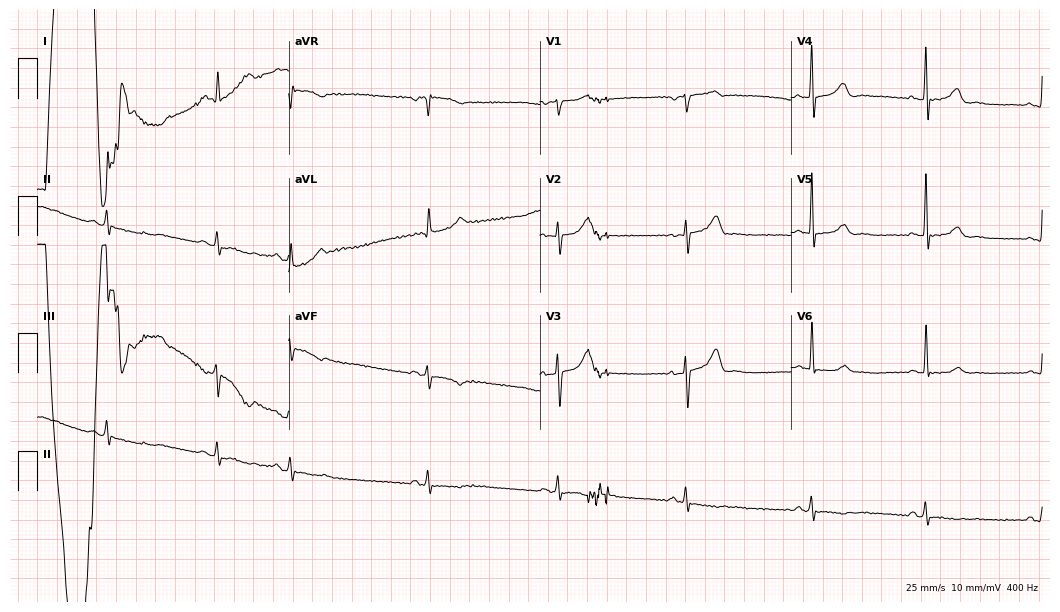
12-lead ECG from a 79-year-old male patient. Screened for six findings — first-degree AV block, right bundle branch block (RBBB), left bundle branch block (LBBB), sinus bradycardia, atrial fibrillation (AF), sinus tachycardia — none is recorded. Only these six findings were labelled.